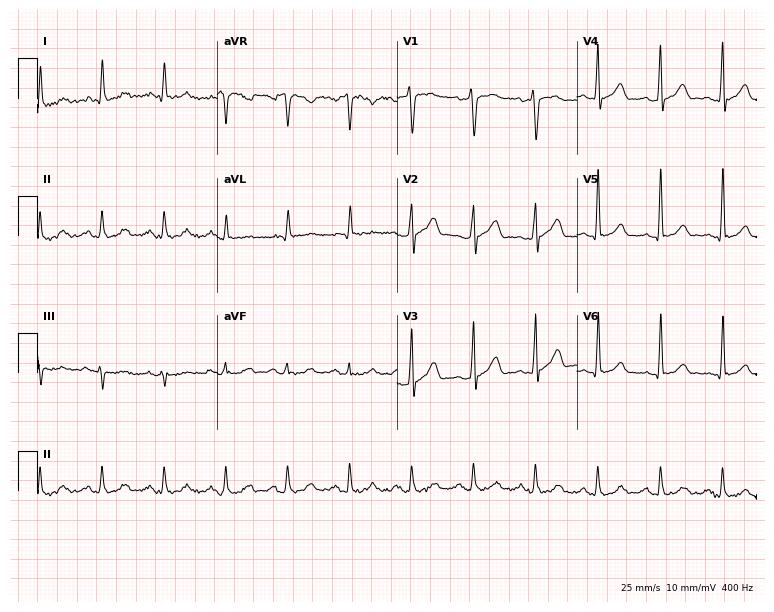
Resting 12-lead electrocardiogram (7.3-second recording at 400 Hz). Patient: a 46-year-old male. None of these six findings is recorded: first-degree AV block, right bundle branch block, left bundle branch block, sinus bradycardia, atrial fibrillation, sinus tachycardia. Findings outside these six are not listed.